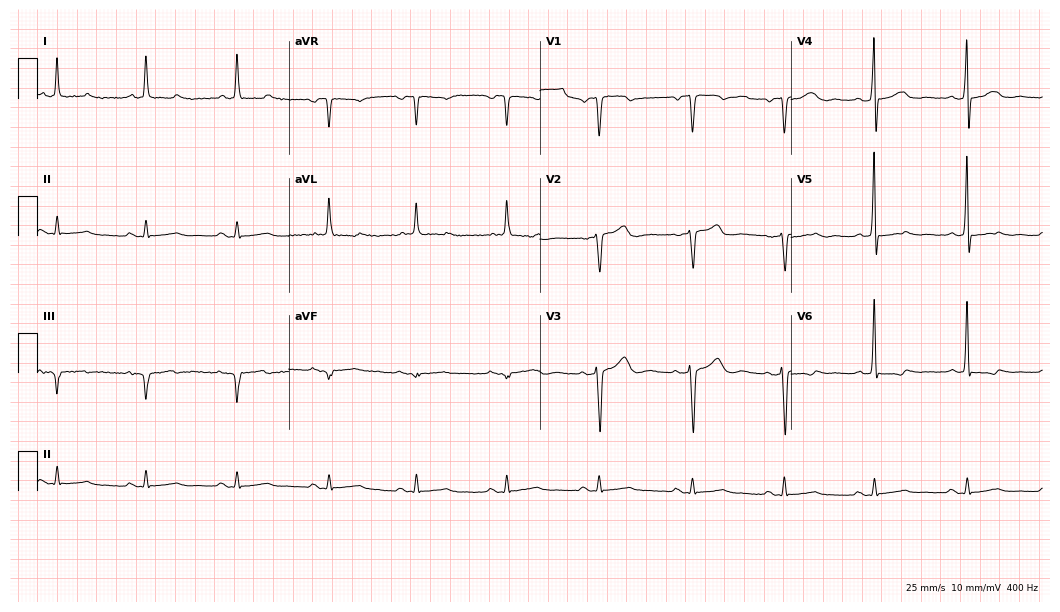
12-lead ECG from a female patient, 70 years old (10.2-second recording at 400 Hz). No first-degree AV block, right bundle branch block, left bundle branch block, sinus bradycardia, atrial fibrillation or sinus tachycardia recorded for this tracing.